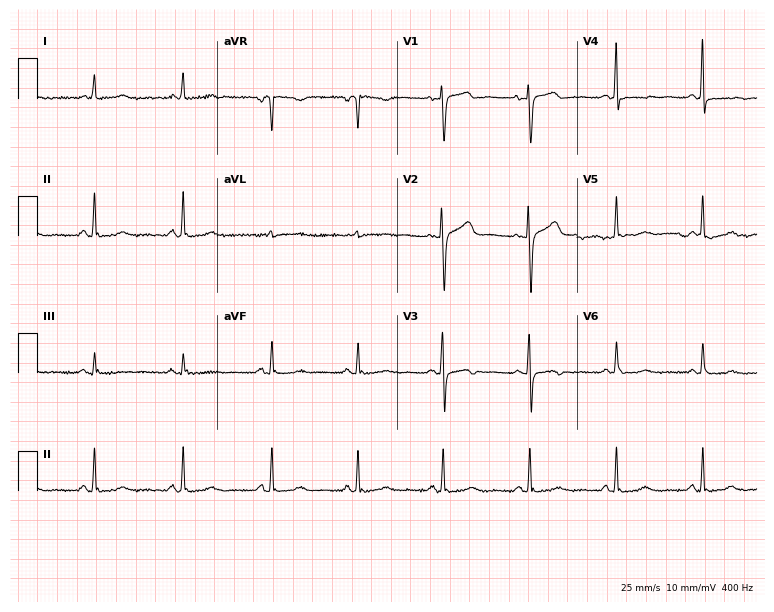
Resting 12-lead electrocardiogram (7.3-second recording at 400 Hz). Patient: a 55-year-old female. None of these six findings is recorded: first-degree AV block, right bundle branch block (RBBB), left bundle branch block (LBBB), sinus bradycardia, atrial fibrillation (AF), sinus tachycardia. Findings outside these six are not listed.